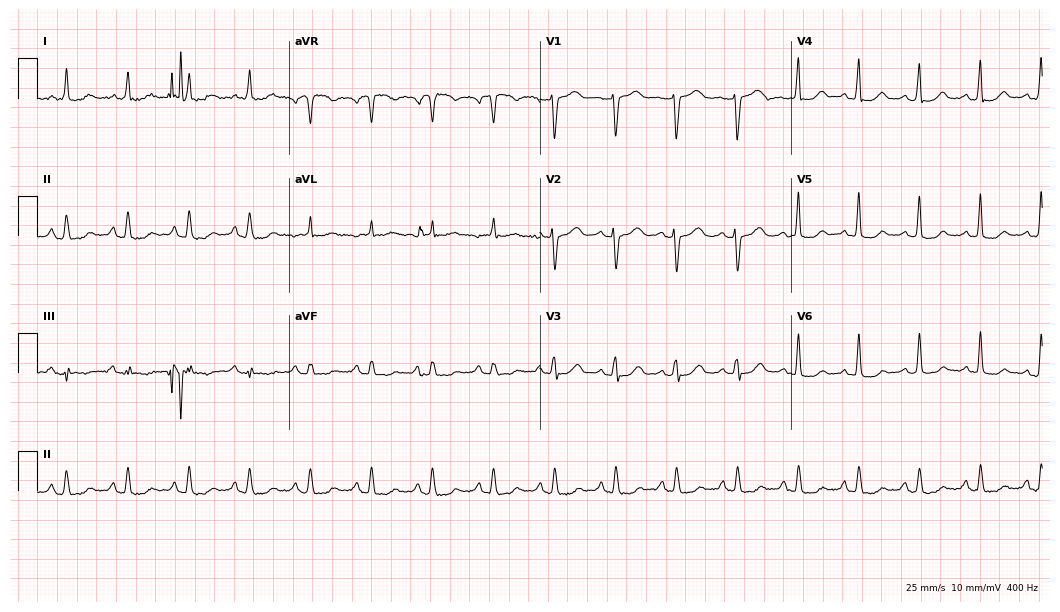
Standard 12-lead ECG recorded from a 54-year-old female (10.2-second recording at 400 Hz). Read as a normal ECG.